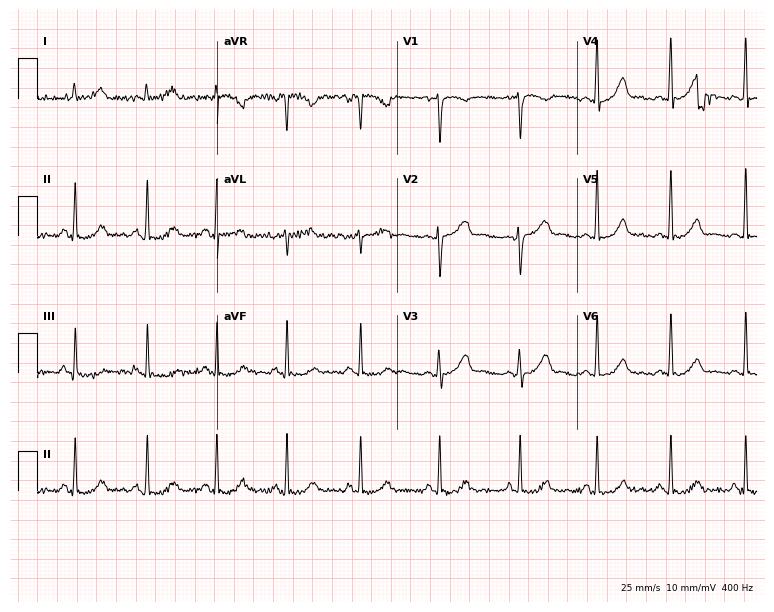
ECG — a 35-year-old female. Screened for six findings — first-degree AV block, right bundle branch block, left bundle branch block, sinus bradycardia, atrial fibrillation, sinus tachycardia — none is recorded. Findings outside these six are not listed.